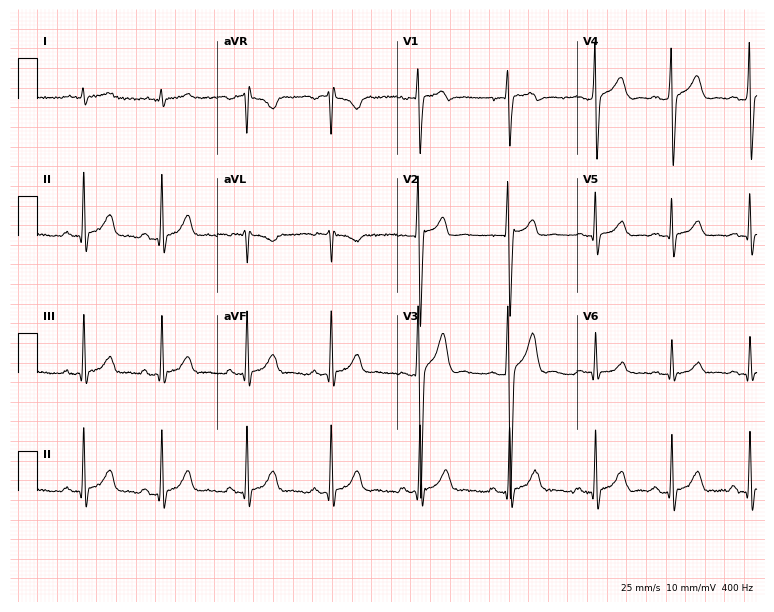
12-lead ECG from a man, 26 years old (7.3-second recording at 400 Hz). Recorded interpretation: within normal limits.